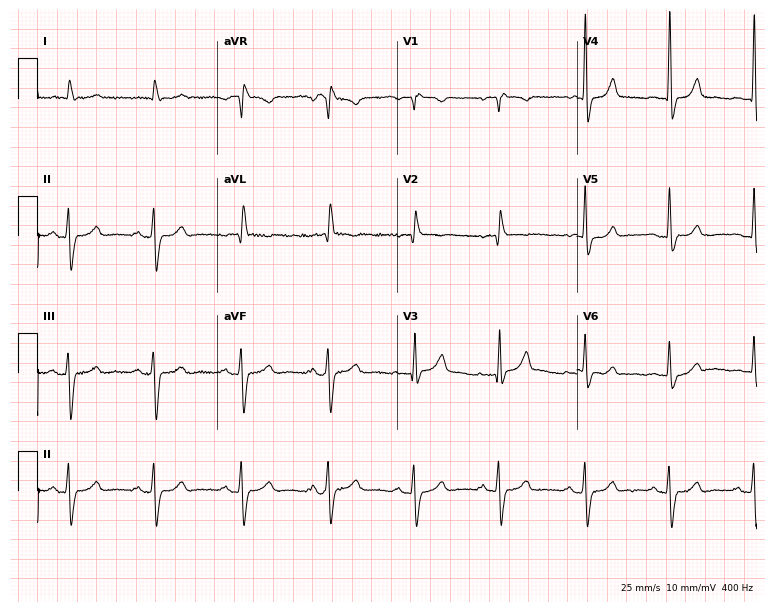
12-lead ECG from a 71-year-old woman. No first-degree AV block, right bundle branch block, left bundle branch block, sinus bradycardia, atrial fibrillation or sinus tachycardia recorded for this tracing. Findings outside these six are not listed.